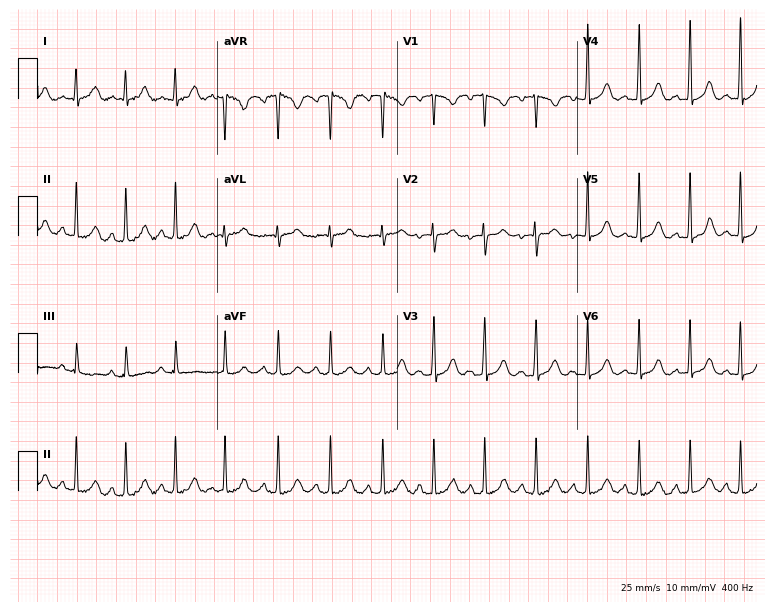
Standard 12-lead ECG recorded from a female, 22 years old. The tracing shows sinus tachycardia (a sinus rate of 100 beats per minute or more).